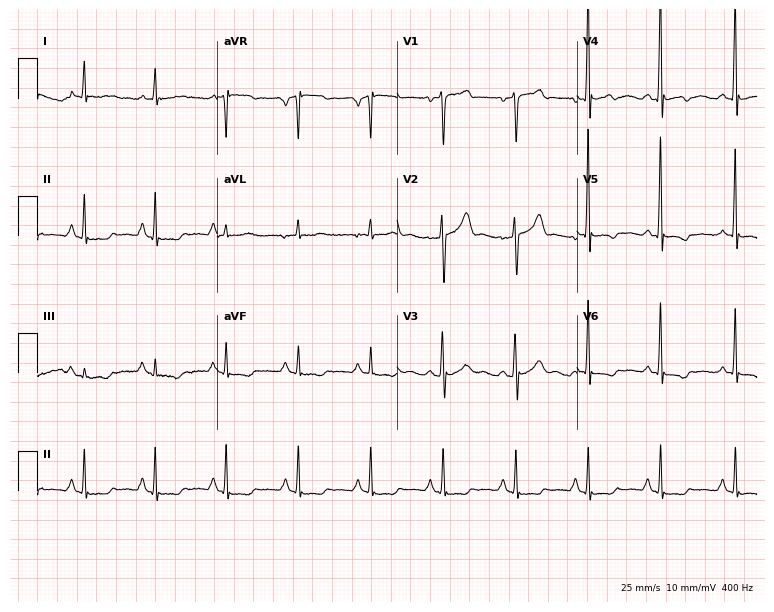
Standard 12-lead ECG recorded from a 59-year-old male patient (7.3-second recording at 400 Hz). None of these six findings is recorded: first-degree AV block, right bundle branch block, left bundle branch block, sinus bradycardia, atrial fibrillation, sinus tachycardia. Only these six findings were labelled.